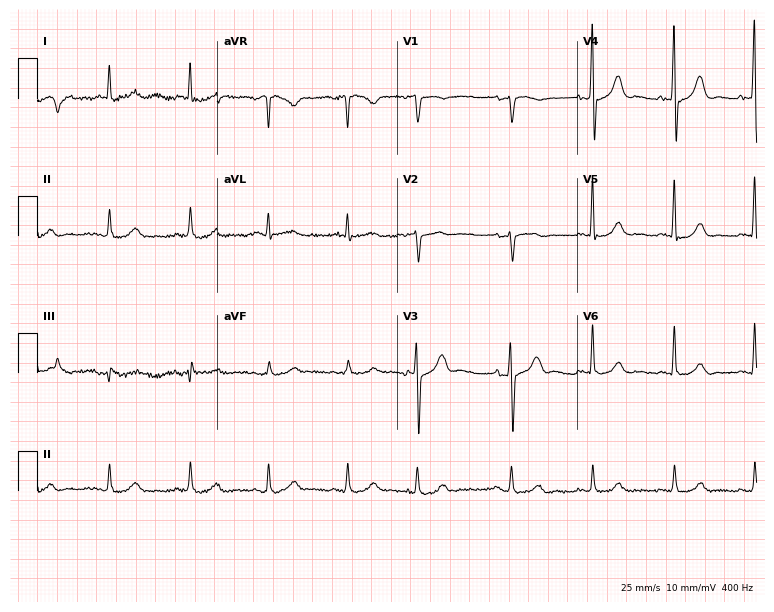
Standard 12-lead ECG recorded from a 72-year-old woman. Read as a normal ECG.